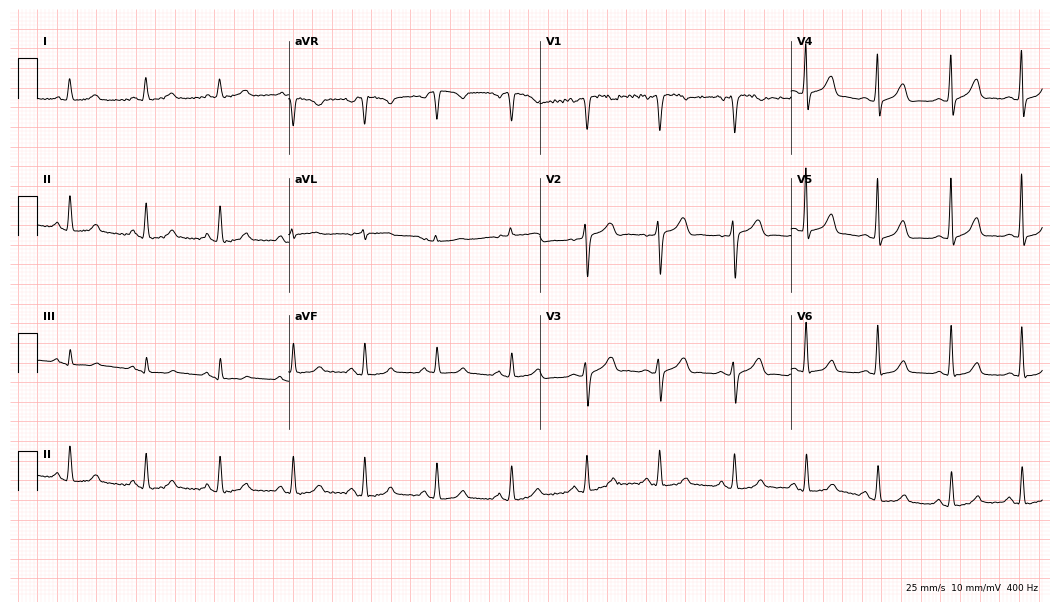
Electrocardiogram, a 40-year-old male. Overall reading on record: normal ECG.